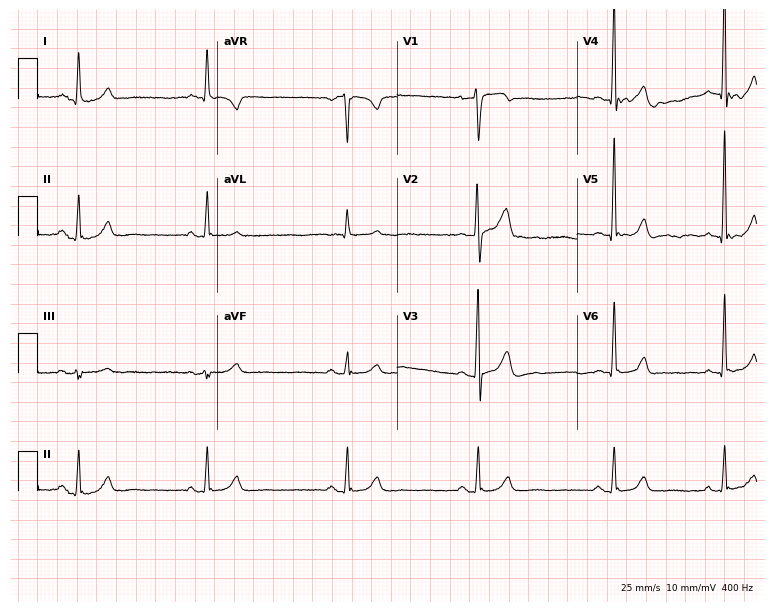
ECG (7.3-second recording at 400 Hz) — a male patient, 69 years old. Screened for six findings — first-degree AV block, right bundle branch block (RBBB), left bundle branch block (LBBB), sinus bradycardia, atrial fibrillation (AF), sinus tachycardia — none is recorded.